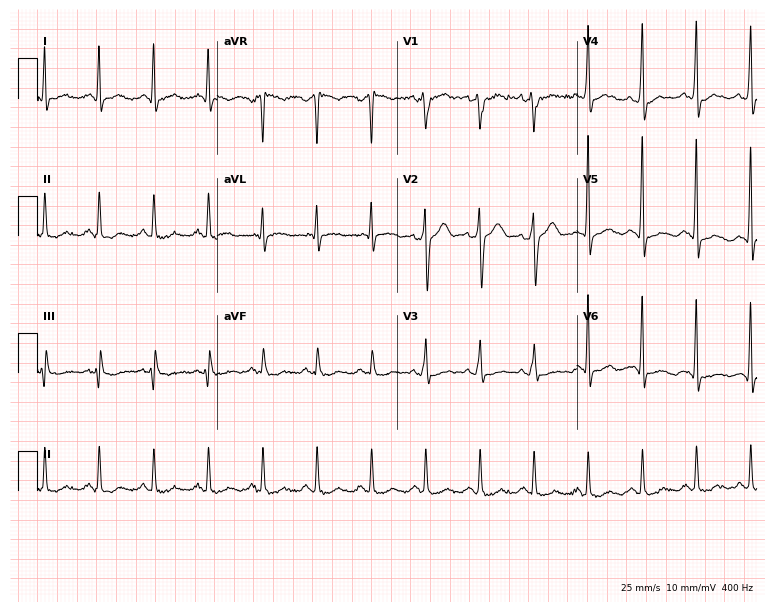
Resting 12-lead electrocardiogram. Patient: a male, 39 years old. The tracing shows sinus tachycardia (a sinus rate of 100 beats per minute or more).